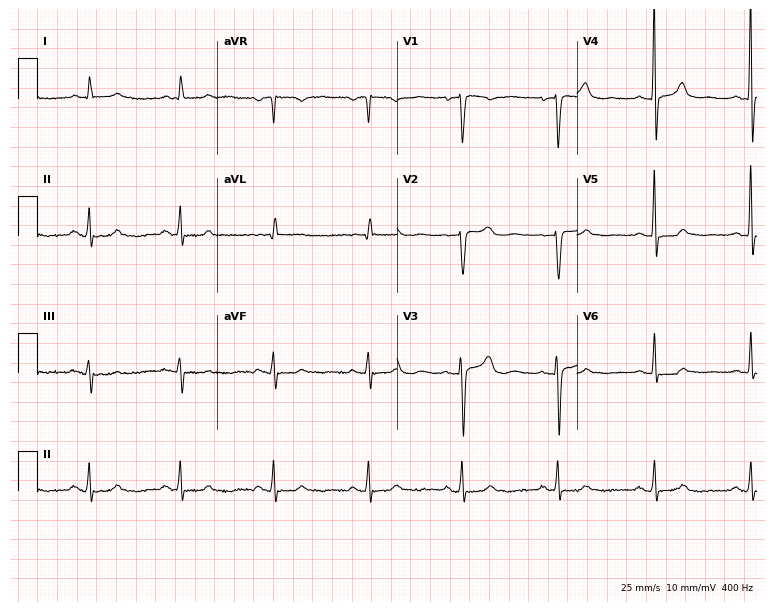
Standard 12-lead ECG recorded from a 44-year-old woman. Read as a normal ECG.